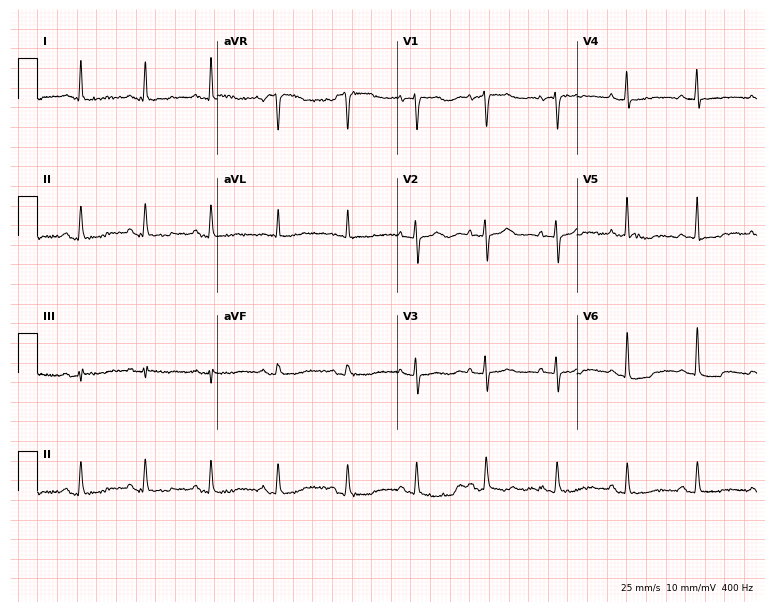
Electrocardiogram, a female, 54 years old. Of the six screened findings (first-degree AV block, right bundle branch block (RBBB), left bundle branch block (LBBB), sinus bradycardia, atrial fibrillation (AF), sinus tachycardia), none is recorded.